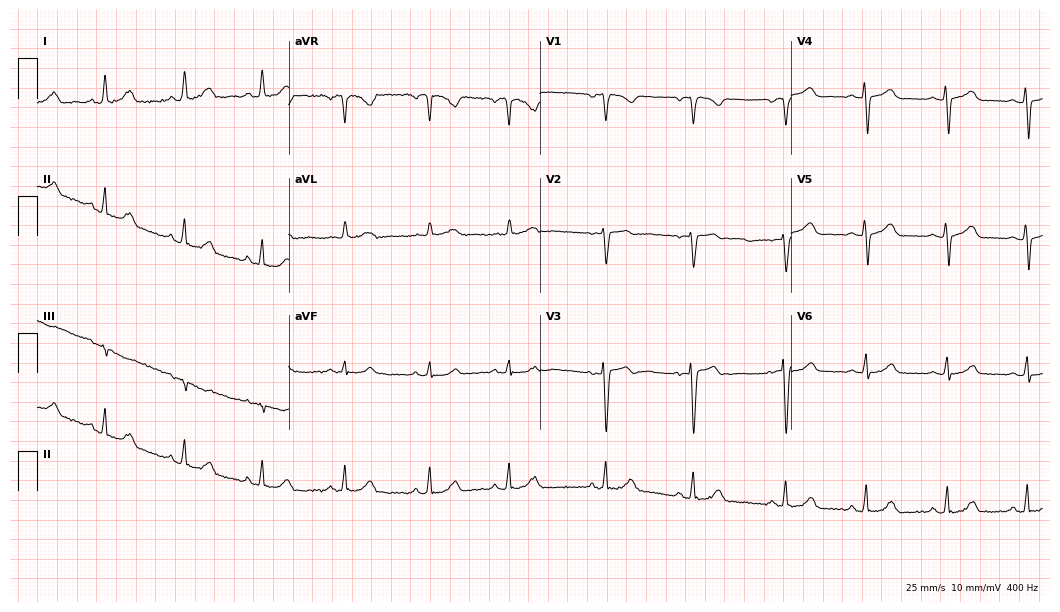
ECG — a woman, 21 years old. Labelled as a normal ECG.